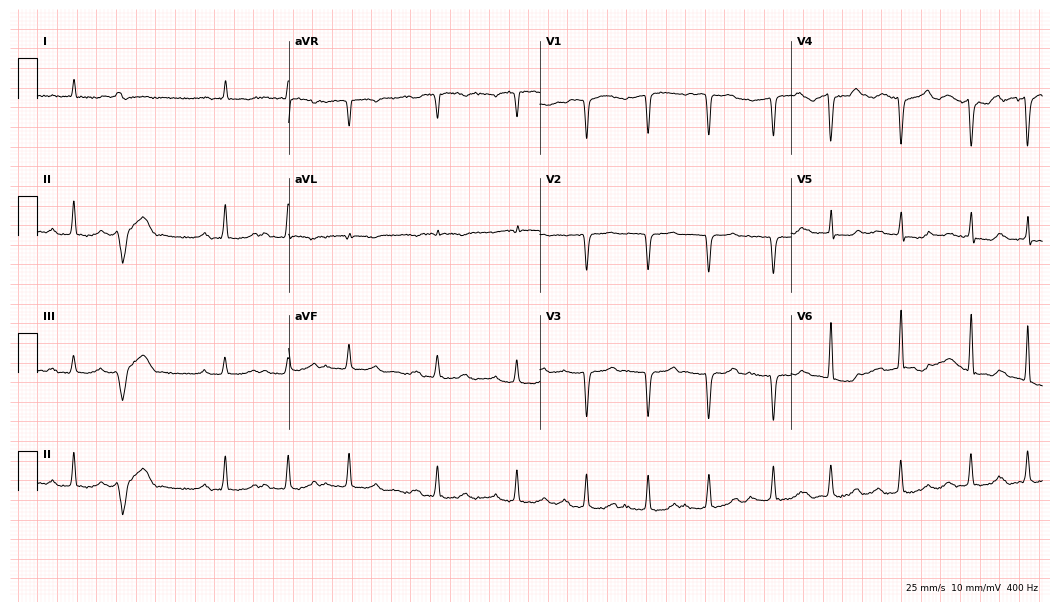
Standard 12-lead ECG recorded from a male patient, 84 years old. The tracing shows first-degree AV block.